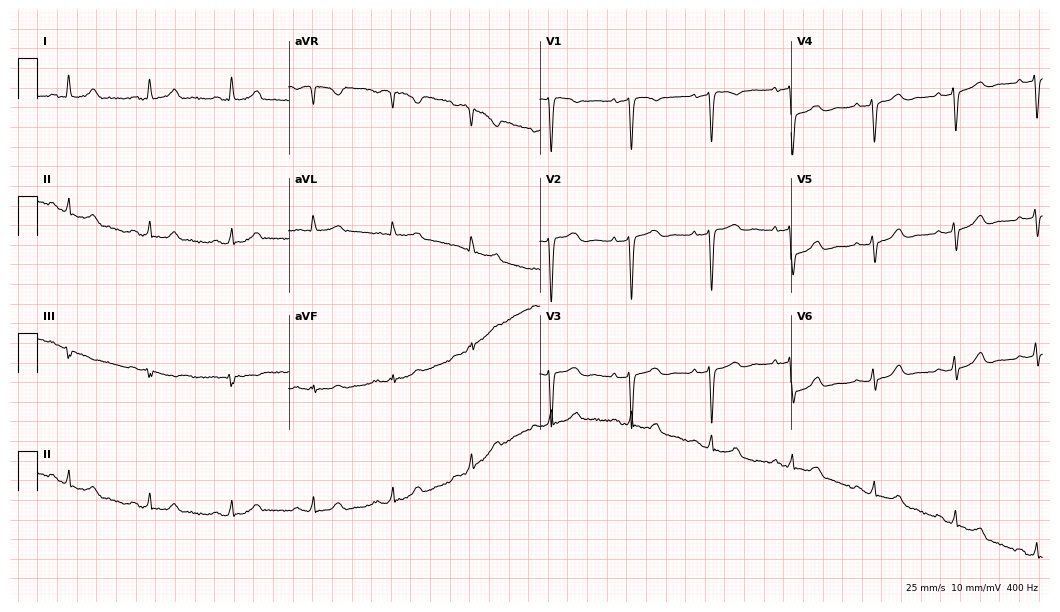
12-lead ECG from a woman, 47 years old (10.2-second recording at 400 Hz). No first-degree AV block, right bundle branch block, left bundle branch block, sinus bradycardia, atrial fibrillation or sinus tachycardia recorded for this tracing. Other findings, if any, are not listed.